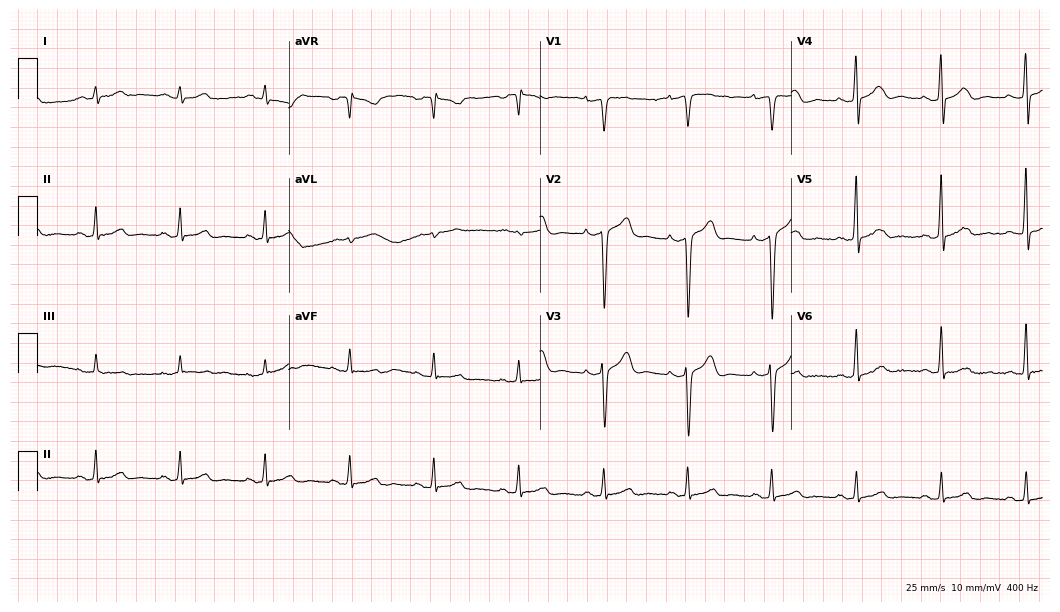
ECG — a 50-year-old male patient. Labelled as a normal ECG.